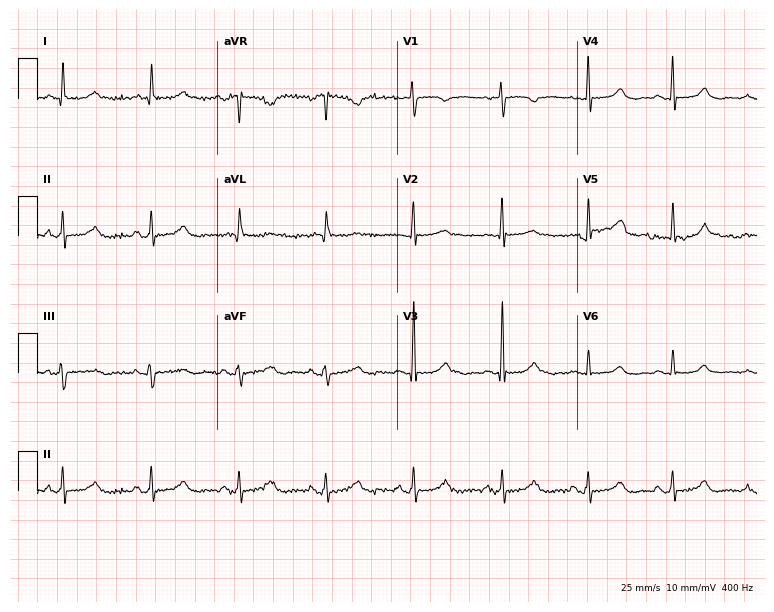
12-lead ECG from a 66-year-old woman. Screened for six findings — first-degree AV block, right bundle branch block (RBBB), left bundle branch block (LBBB), sinus bradycardia, atrial fibrillation (AF), sinus tachycardia — none is recorded.